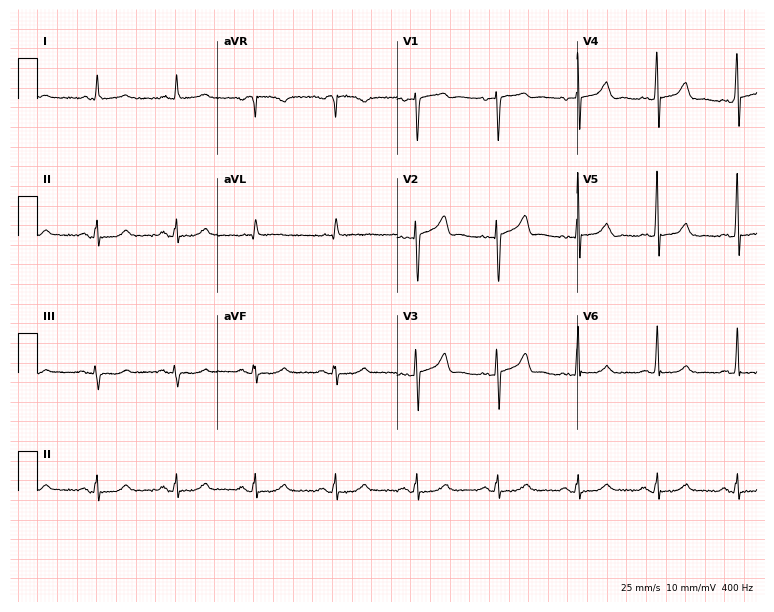
Standard 12-lead ECG recorded from a 61-year-old female (7.3-second recording at 400 Hz). None of these six findings is recorded: first-degree AV block, right bundle branch block, left bundle branch block, sinus bradycardia, atrial fibrillation, sinus tachycardia. Other findings, if any, are not listed.